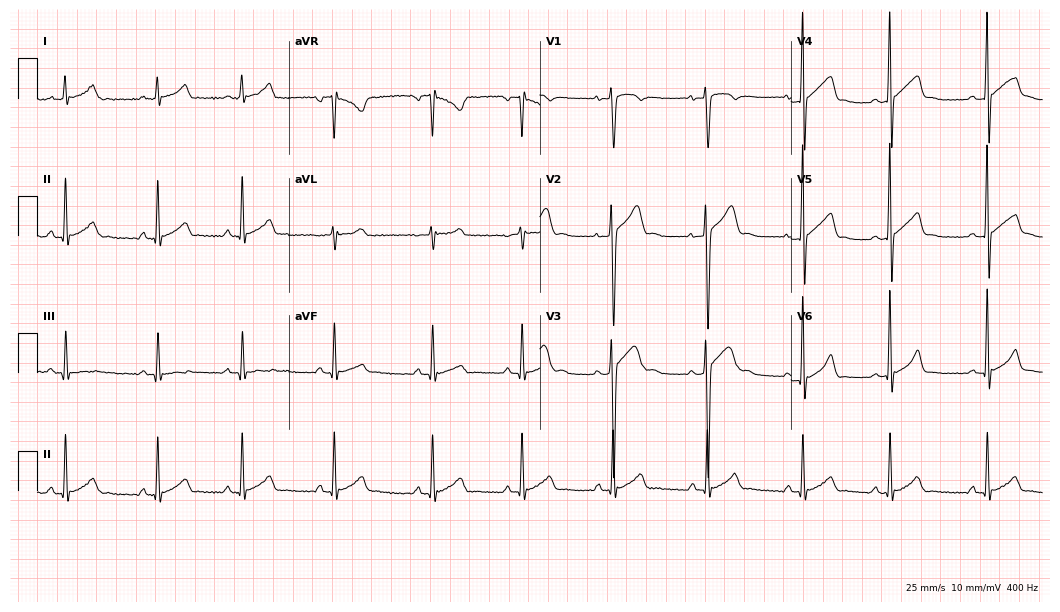
12-lead ECG from a male, 17 years old. Labelled as a normal ECG.